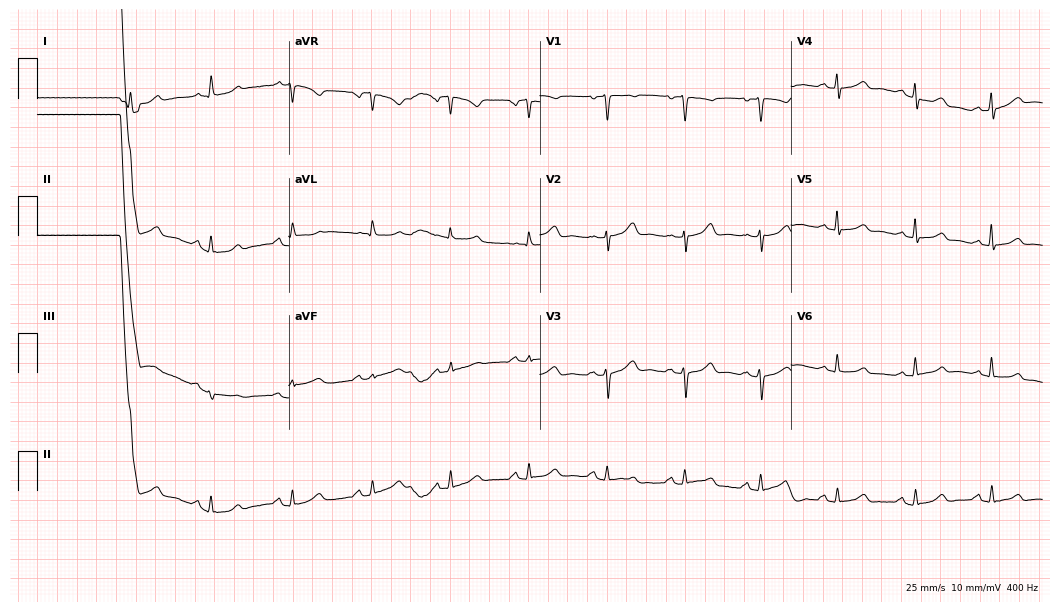
12-lead ECG from a 58-year-old woman. No first-degree AV block, right bundle branch block (RBBB), left bundle branch block (LBBB), sinus bradycardia, atrial fibrillation (AF) or sinus tachycardia recorded for this tracing. Only these six findings were labelled.